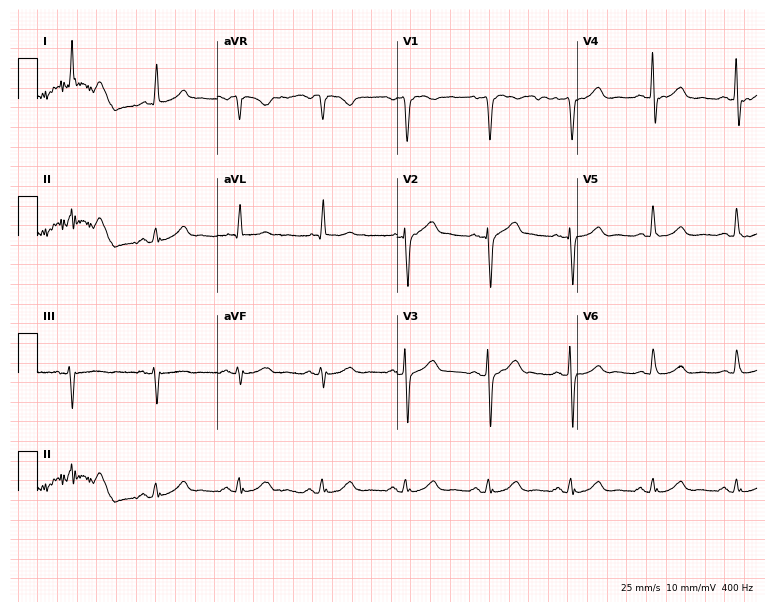
Electrocardiogram, a male, 66 years old. Of the six screened findings (first-degree AV block, right bundle branch block (RBBB), left bundle branch block (LBBB), sinus bradycardia, atrial fibrillation (AF), sinus tachycardia), none is recorded. Other findings, if any, are not listed.